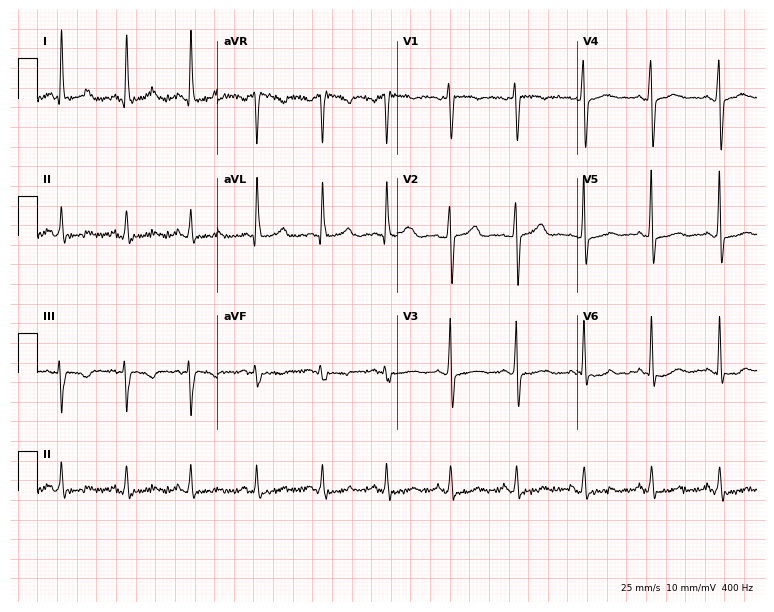
Electrocardiogram, a 42-year-old woman. Of the six screened findings (first-degree AV block, right bundle branch block (RBBB), left bundle branch block (LBBB), sinus bradycardia, atrial fibrillation (AF), sinus tachycardia), none is recorded. Other findings, if any, are not listed.